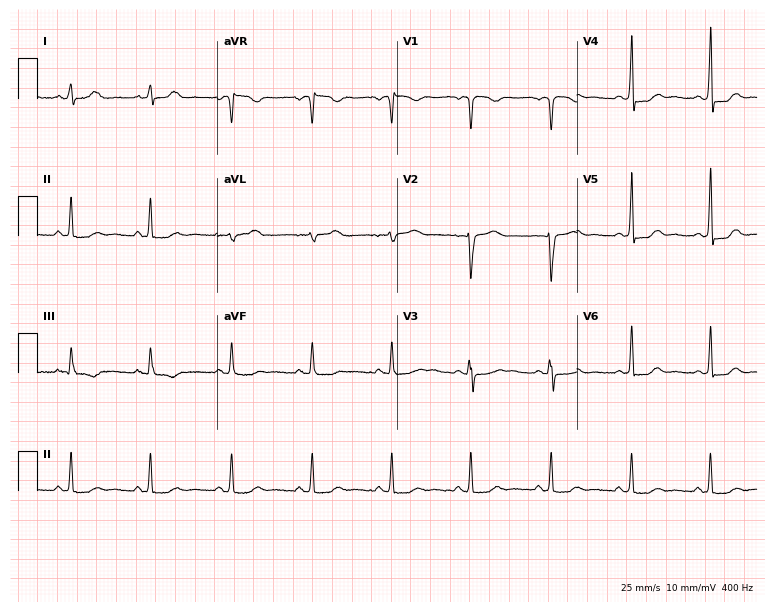
Electrocardiogram (7.3-second recording at 400 Hz), a female patient, 29 years old. Overall reading on record: normal ECG.